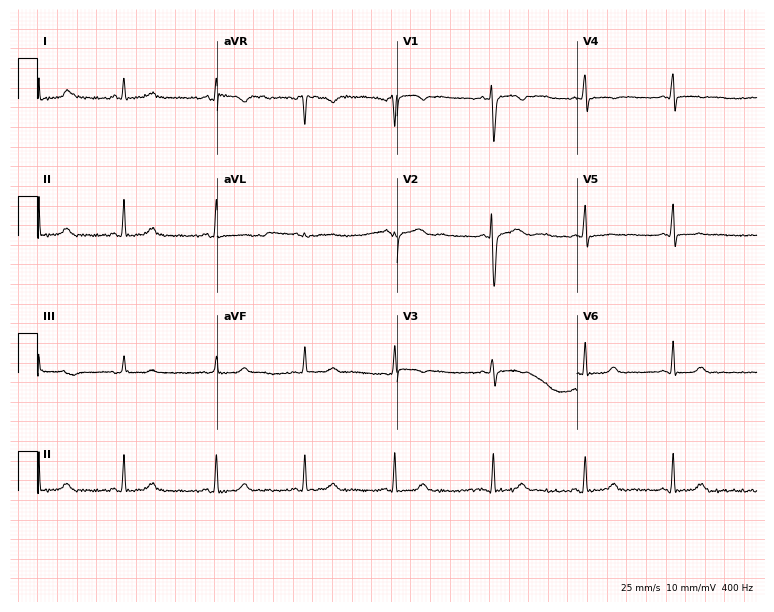
Electrocardiogram (7.3-second recording at 400 Hz), a woman, 17 years old. Overall reading on record: normal ECG.